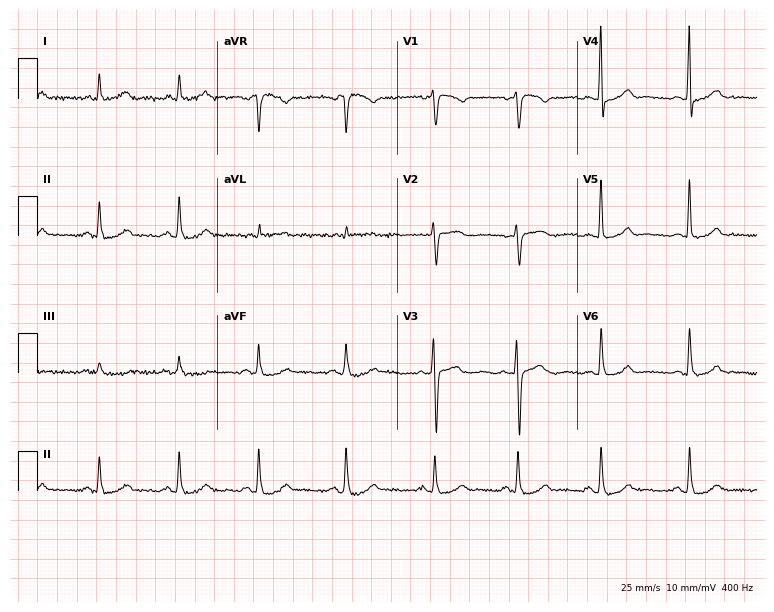
12-lead ECG from a 45-year-old female. Recorded interpretation: within normal limits.